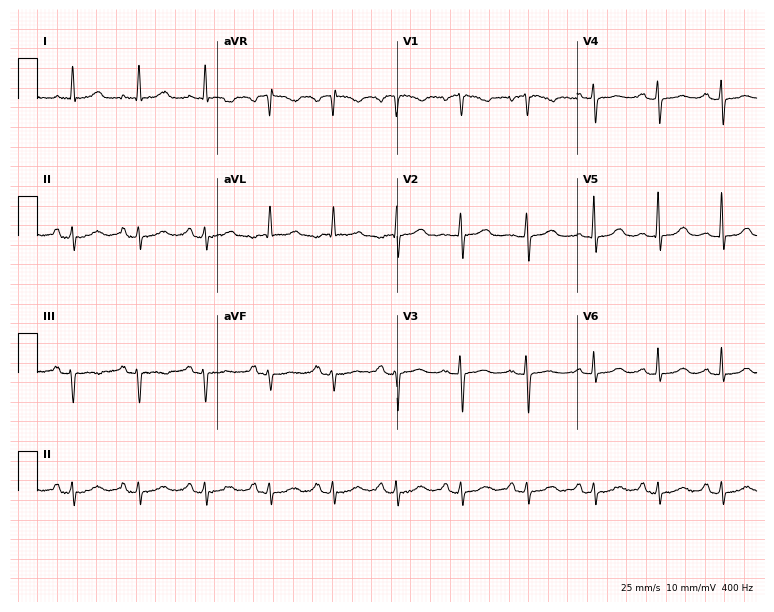
Electrocardiogram (7.3-second recording at 400 Hz), a woman, 68 years old. Of the six screened findings (first-degree AV block, right bundle branch block, left bundle branch block, sinus bradycardia, atrial fibrillation, sinus tachycardia), none is recorded. Findings outside these six are not listed.